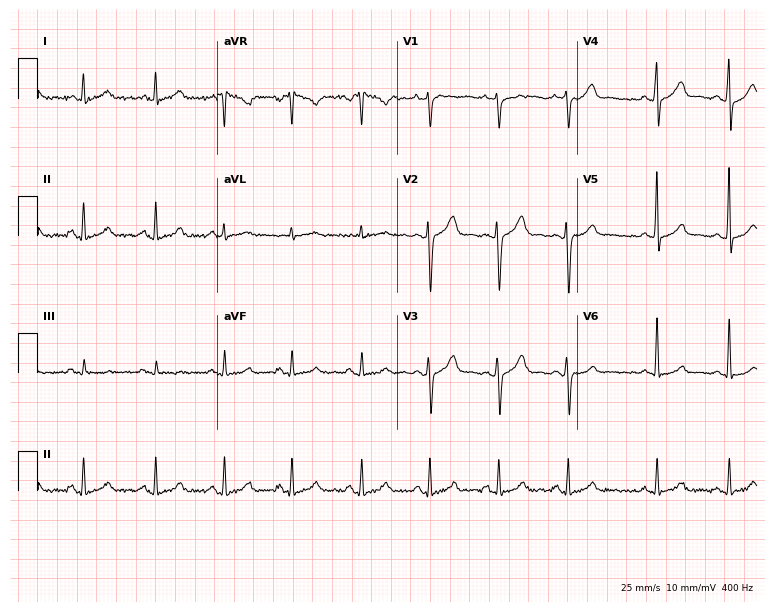
12-lead ECG from a 24-year-old male patient. Recorded interpretation: within normal limits.